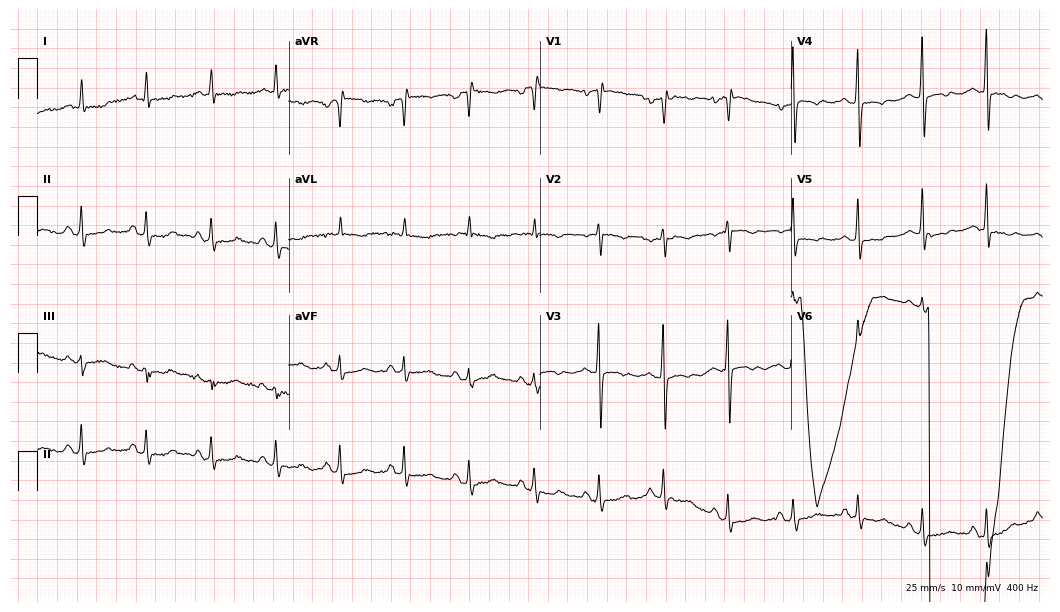
12-lead ECG from a 64-year-old female. Labelled as a normal ECG.